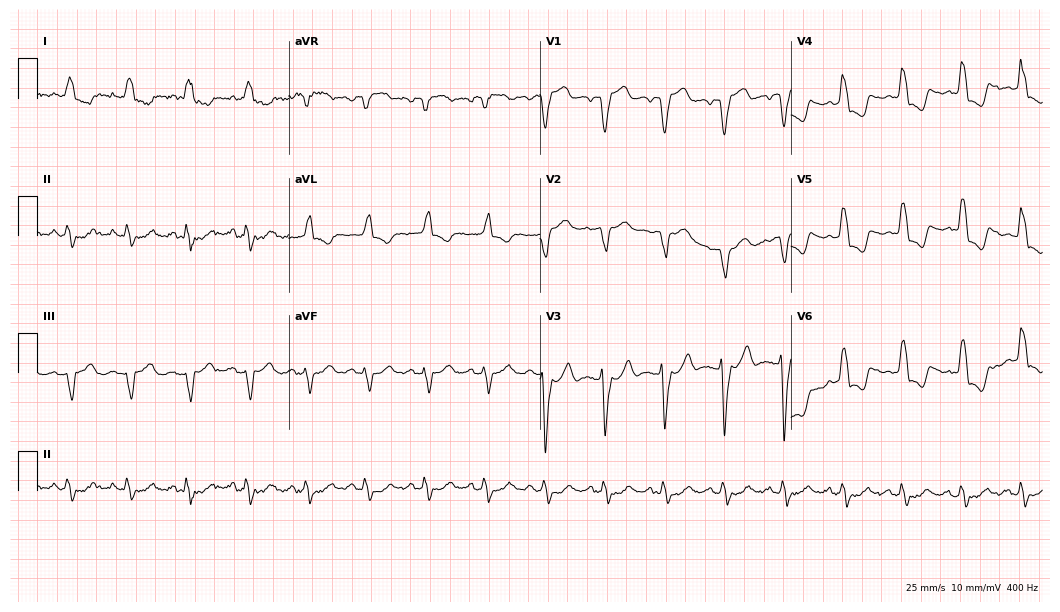
12-lead ECG from an 84-year-old male patient. Shows left bundle branch block.